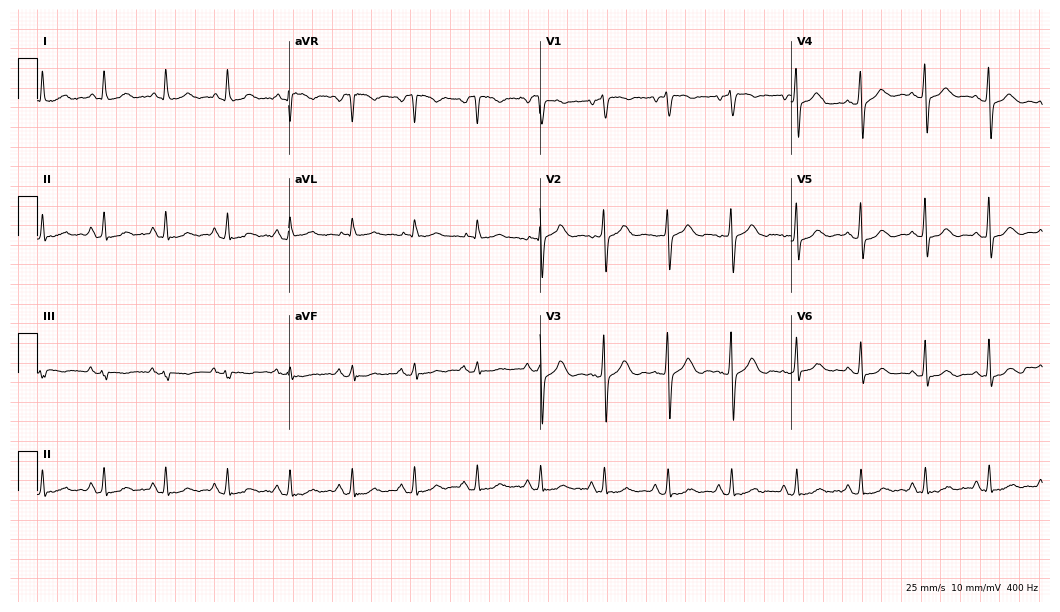
Standard 12-lead ECG recorded from a female, 69 years old (10.2-second recording at 400 Hz). Read as a normal ECG.